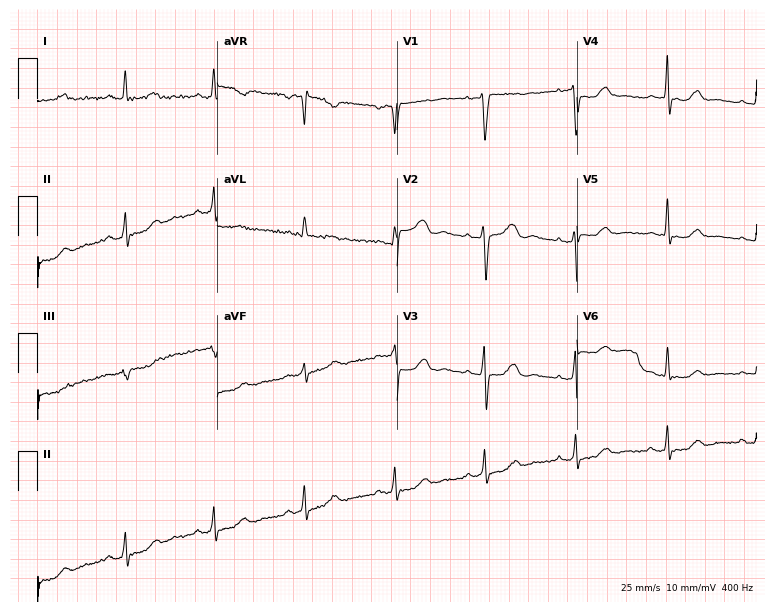
12-lead ECG (7.3-second recording at 400 Hz) from a female patient, 53 years old. Screened for six findings — first-degree AV block, right bundle branch block, left bundle branch block, sinus bradycardia, atrial fibrillation, sinus tachycardia — none is recorded.